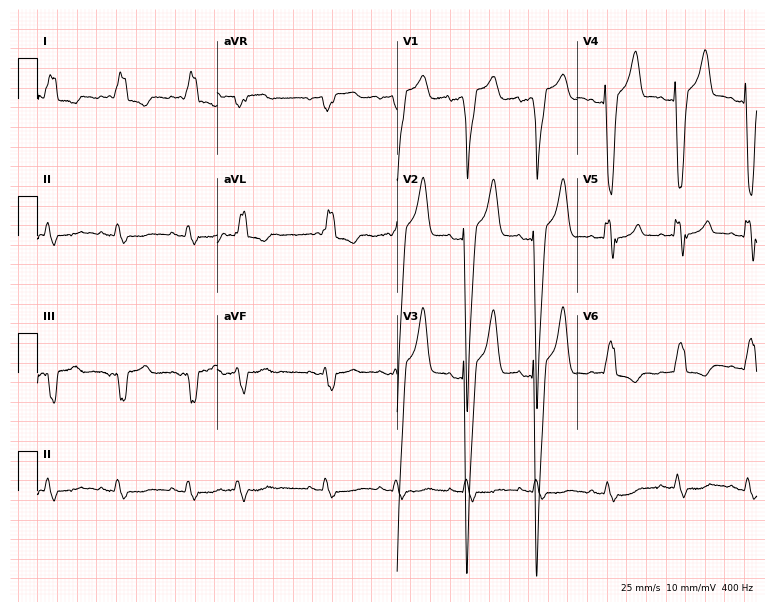
12-lead ECG from a female, 83 years old (7.3-second recording at 400 Hz). Shows left bundle branch block (LBBB).